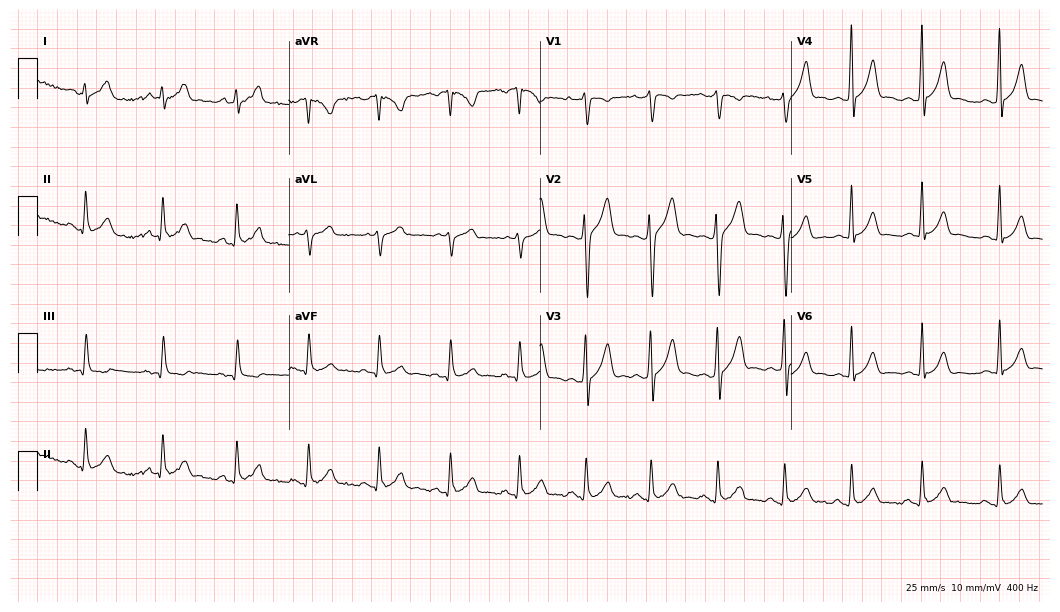
ECG (10.2-second recording at 400 Hz) — a man, 26 years old. Labelled as a normal ECG.